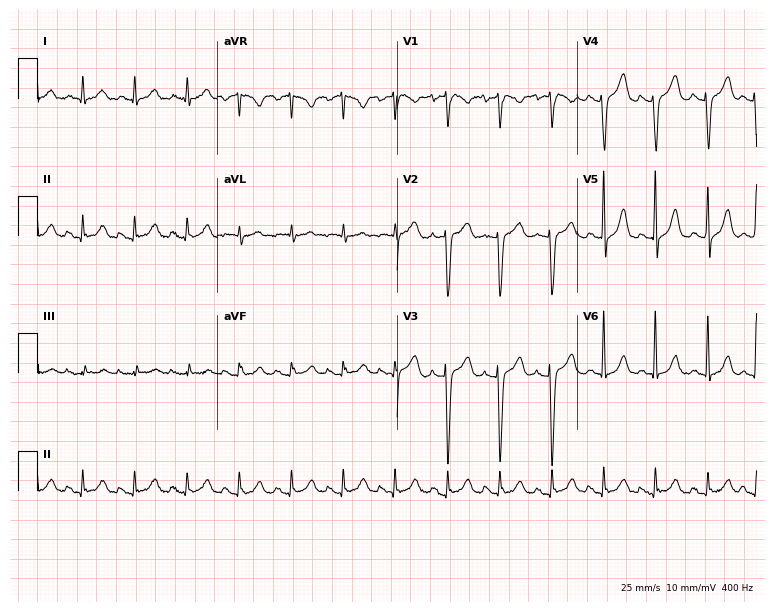
ECG — a woman, 79 years old. Findings include sinus tachycardia (a sinus rate of 100 beats per minute or more).